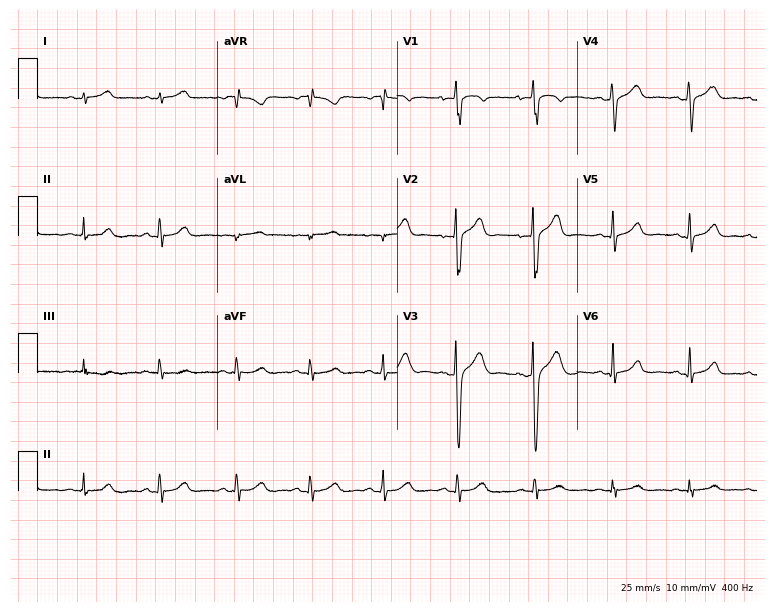
12-lead ECG from a male, 23 years old (7.3-second recording at 400 Hz). No first-degree AV block, right bundle branch block (RBBB), left bundle branch block (LBBB), sinus bradycardia, atrial fibrillation (AF) or sinus tachycardia recorded for this tracing. Other findings, if any, are not listed.